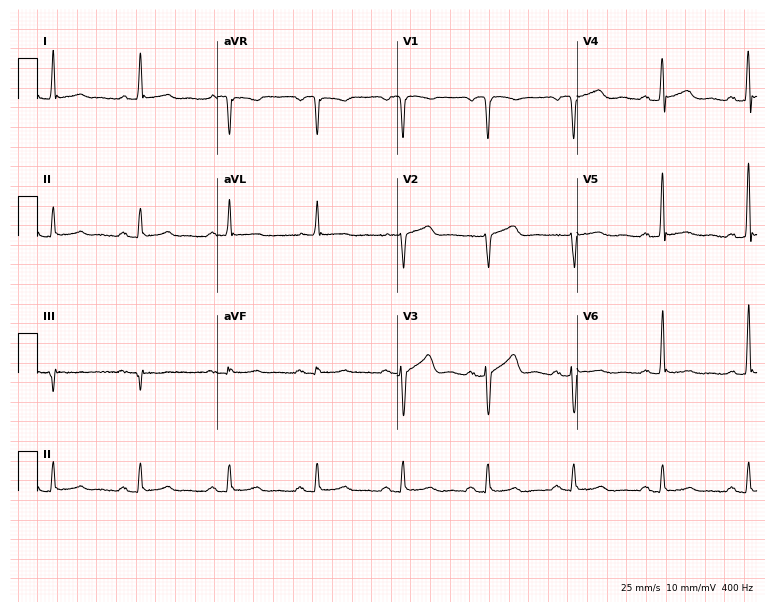
Standard 12-lead ECG recorded from a 72-year-old man (7.3-second recording at 400 Hz). None of these six findings is recorded: first-degree AV block, right bundle branch block (RBBB), left bundle branch block (LBBB), sinus bradycardia, atrial fibrillation (AF), sinus tachycardia. Only these six findings were labelled.